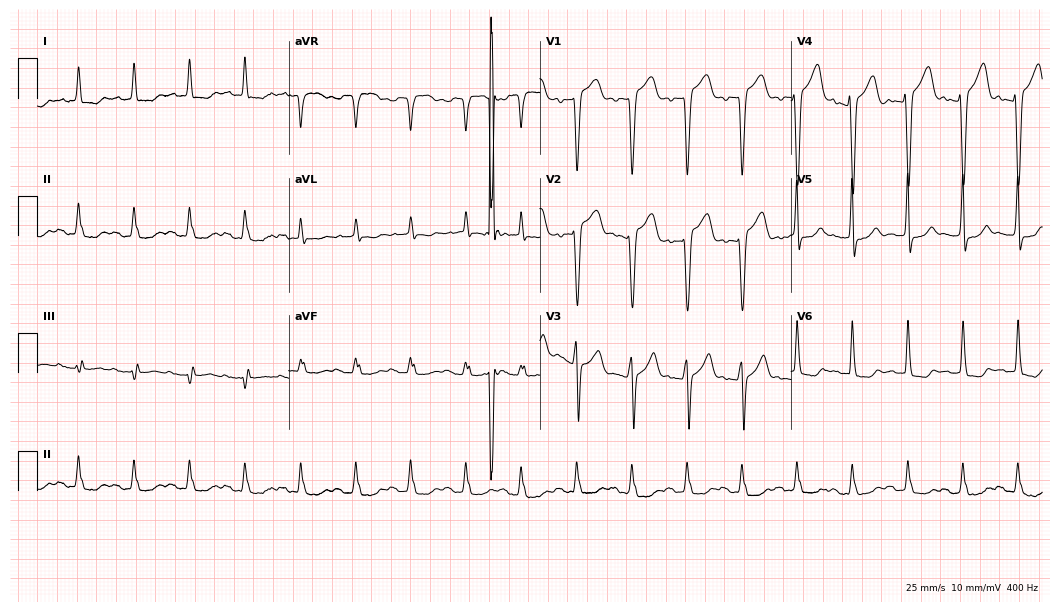
12-lead ECG from a male, 65 years old. Findings include sinus tachycardia (a sinus rate of 100 beats per minute or more).